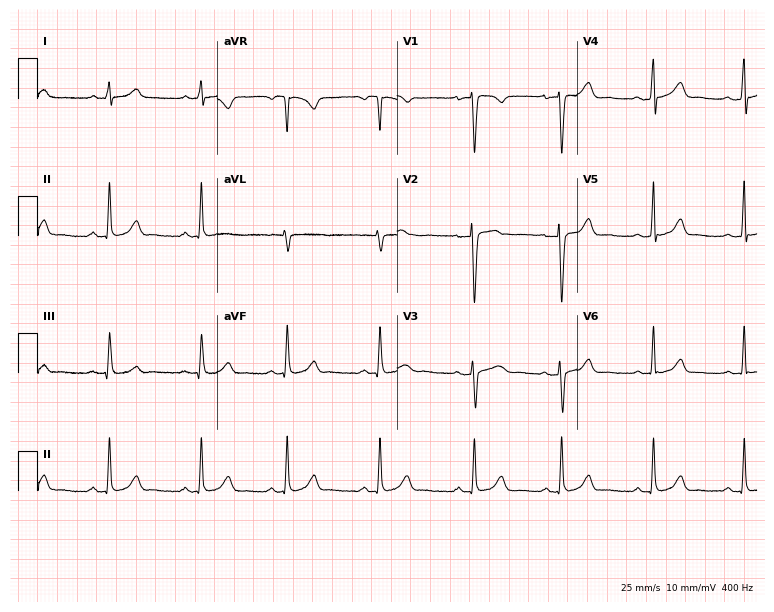
ECG — a female, 27 years old. Labelled as a normal ECG.